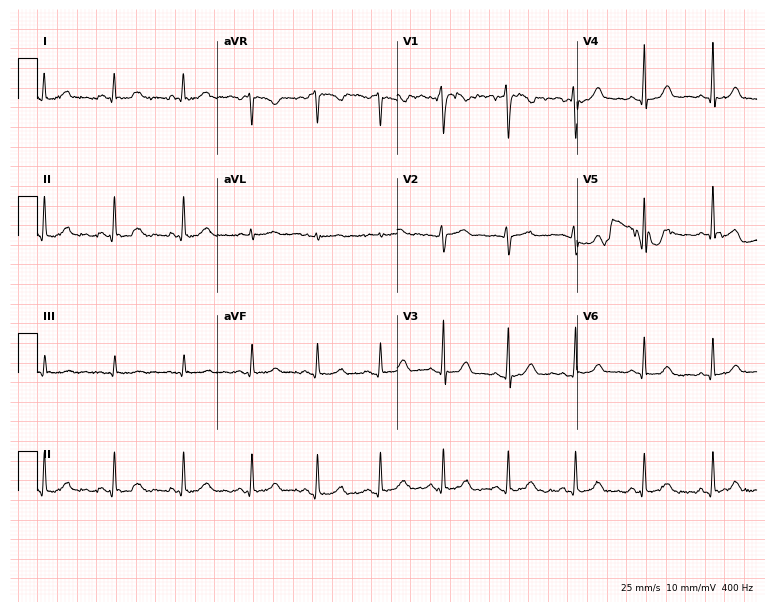
12-lead ECG from a 37-year-old female patient. Labelled as a normal ECG.